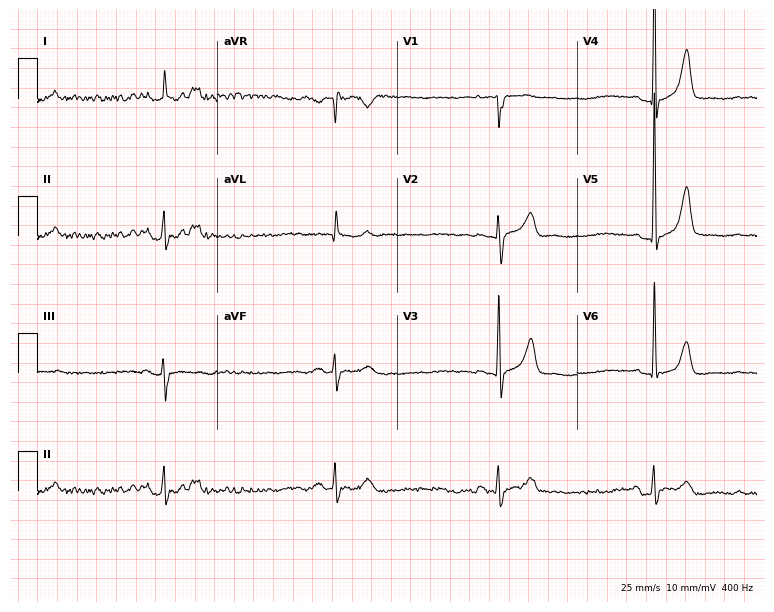
12-lead ECG from a male patient, 62 years old (7.3-second recording at 400 Hz). Shows sinus bradycardia (a sinus rate of 50 beats per minute or less).